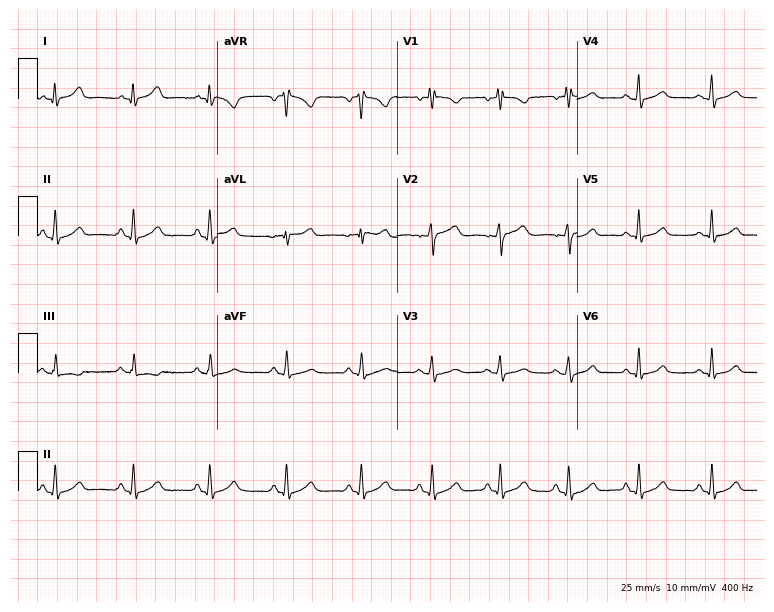
12-lead ECG from a 49-year-old female (7.3-second recording at 400 Hz). Recorded interpretation: within normal limits.